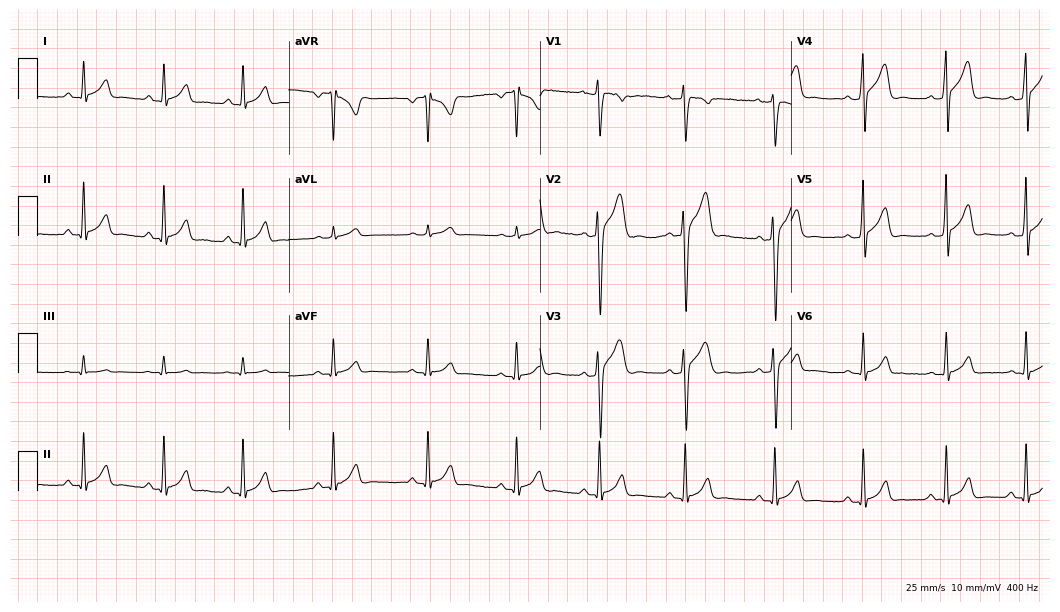
Electrocardiogram, a male, 22 years old. Of the six screened findings (first-degree AV block, right bundle branch block (RBBB), left bundle branch block (LBBB), sinus bradycardia, atrial fibrillation (AF), sinus tachycardia), none is recorded. Findings outside these six are not listed.